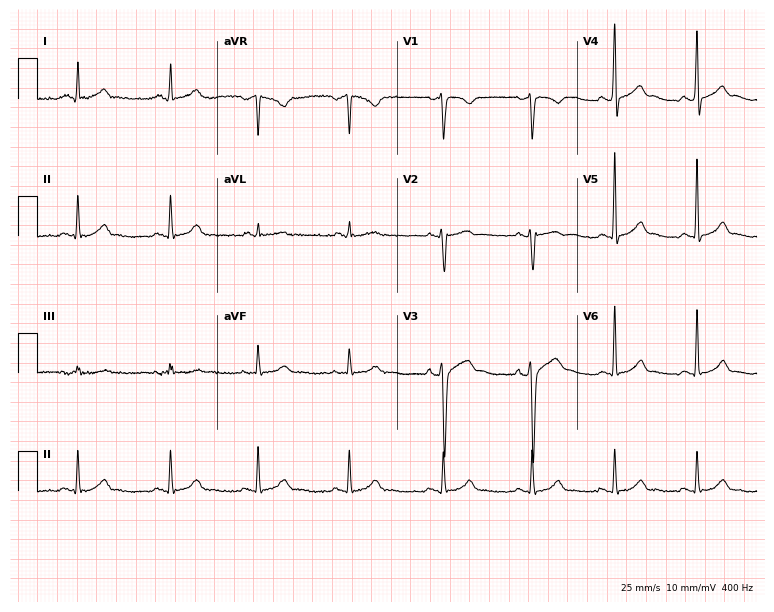
Standard 12-lead ECG recorded from a 38-year-old male (7.3-second recording at 400 Hz). Read as a normal ECG.